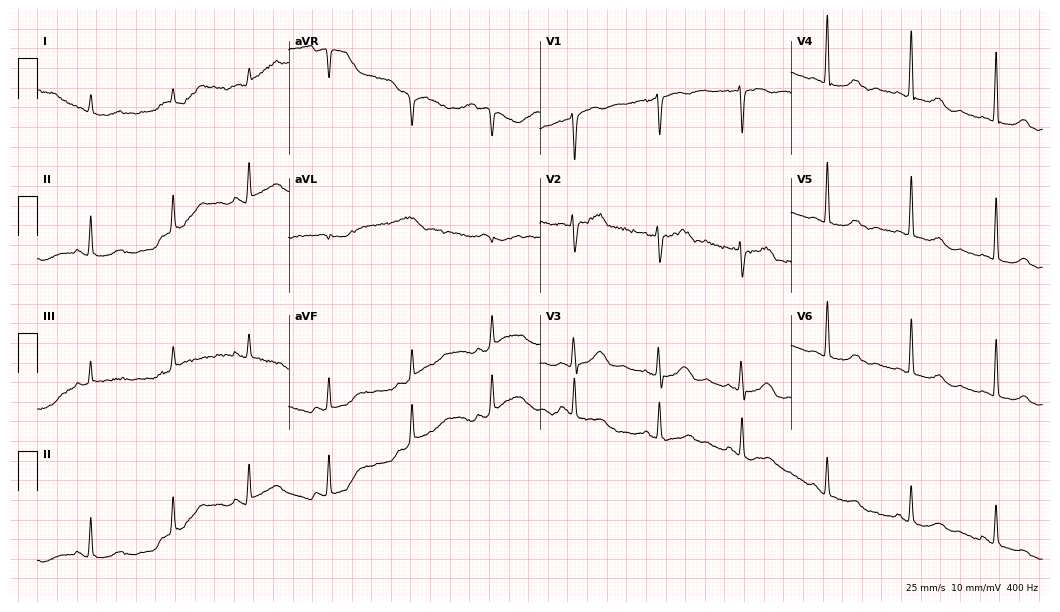
ECG — a 63-year-old female. Labelled as a normal ECG.